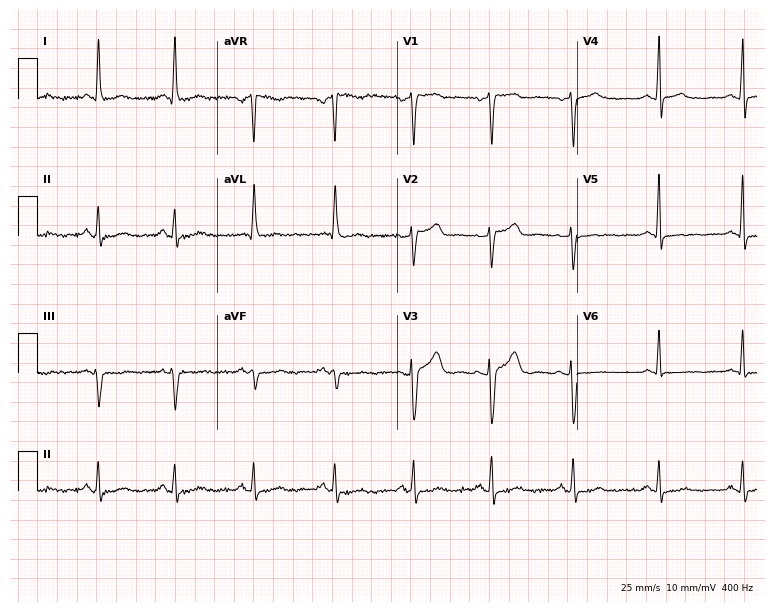
Standard 12-lead ECG recorded from a 52-year-old woman (7.3-second recording at 400 Hz). Read as a normal ECG.